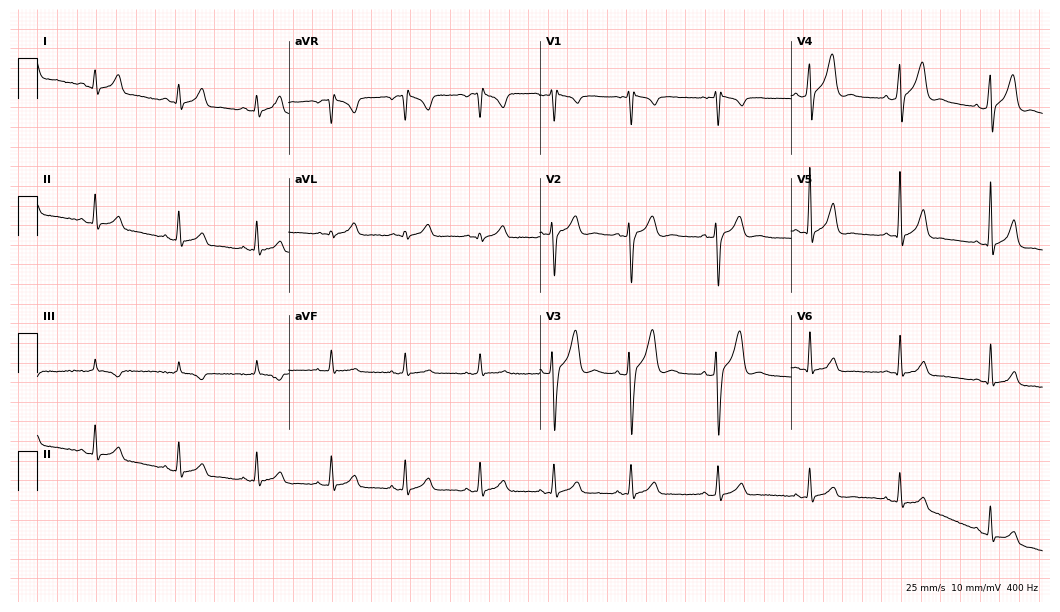
Standard 12-lead ECG recorded from a male, 22 years old (10.2-second recording at 400 Hz). None of these six findings is recorded: first-degree AV block, right bundle branch block (RBBB), left bundle branch block (LBBB), sinus bradycardia, atrial fibrillation (AF), sinus tachycardia.